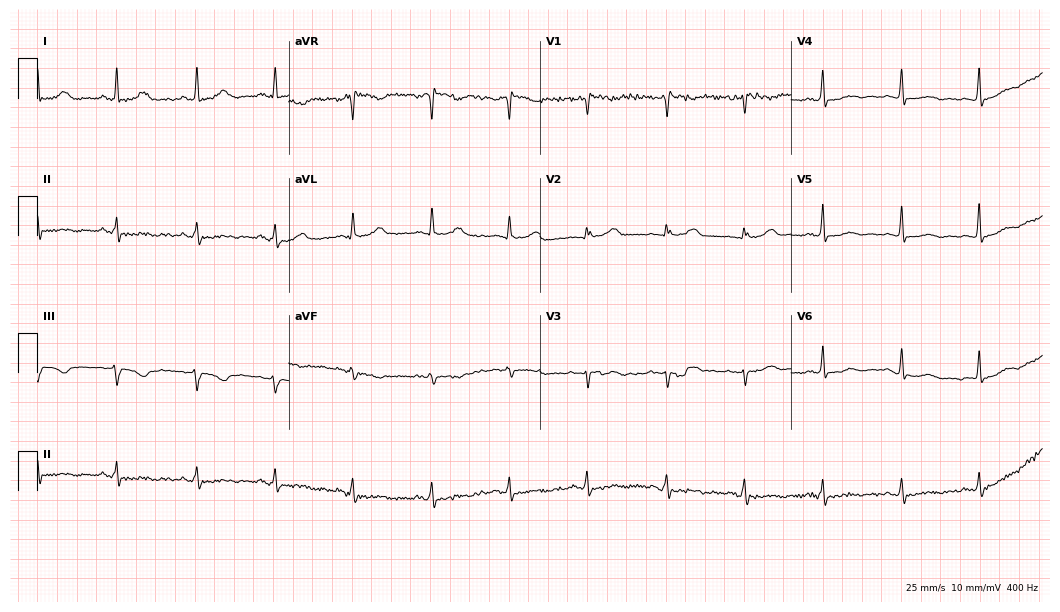
Standard 12-lead ECG recorded from a female, 50 years old (10.2-second recording at 400 Hz). None of these six findings is recorded: first-degree AV block, right bundle branch block, left bundle branch block, sinus bradycardia, atrial fibrillation, sinus tachycardia.